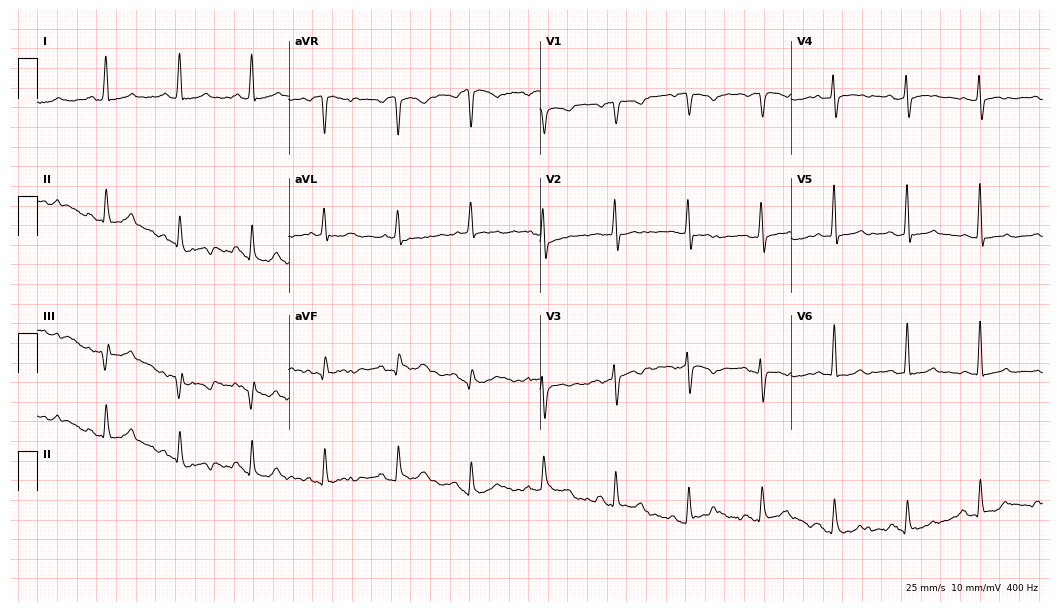
ECG — a female patient, 71 years old. Screened for six findings — first-degree AV block, right bundle branch block (RBBB), left bundle branch block (LBBB), sinus bradycardia, atrial fibrillation (AF), sinus tachycardia — none is recorded. Other findings, if any, are not listed.